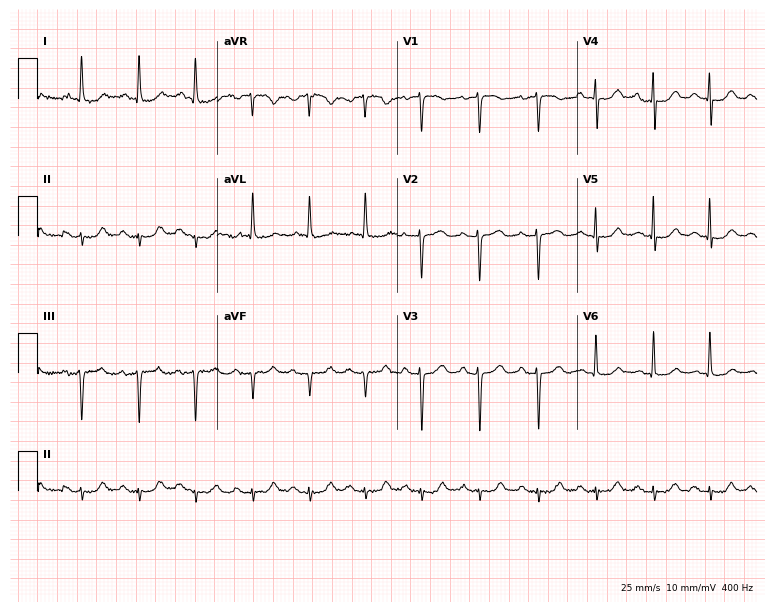
ECG (7.3-second recording at 400 Hz) — a woman, 75 years old. Screened for six findings — first-degree AV block, right bundle branch block (RBBB), left bundle branch block (LBBB), sinus bradycardia, atrial fibrillation (AF), sinus tachycardia — none is recorded.